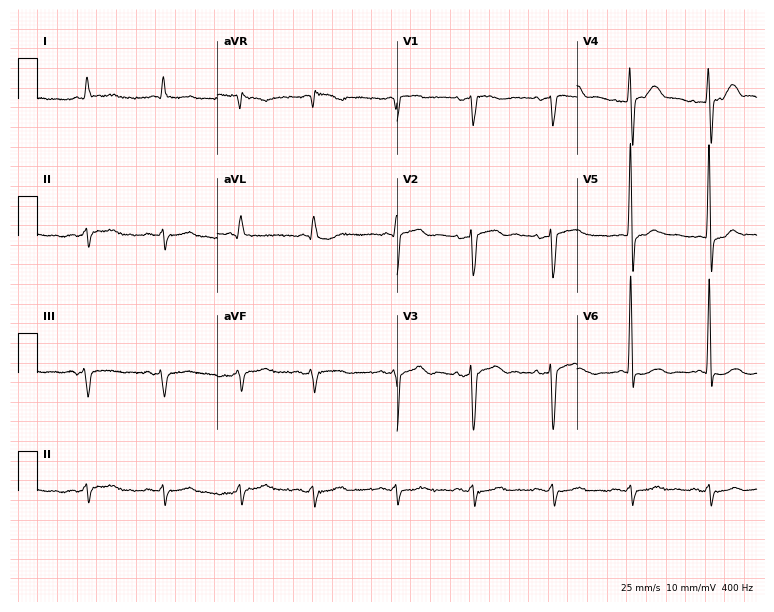
12-lead ECG from a male, 82 years old. Screened for six findings — first-degree AV block, right bundle branch block, left bundle branch block, sinus bradycardia, atrial fibrillation, sinus tachycardia — none is recorded.